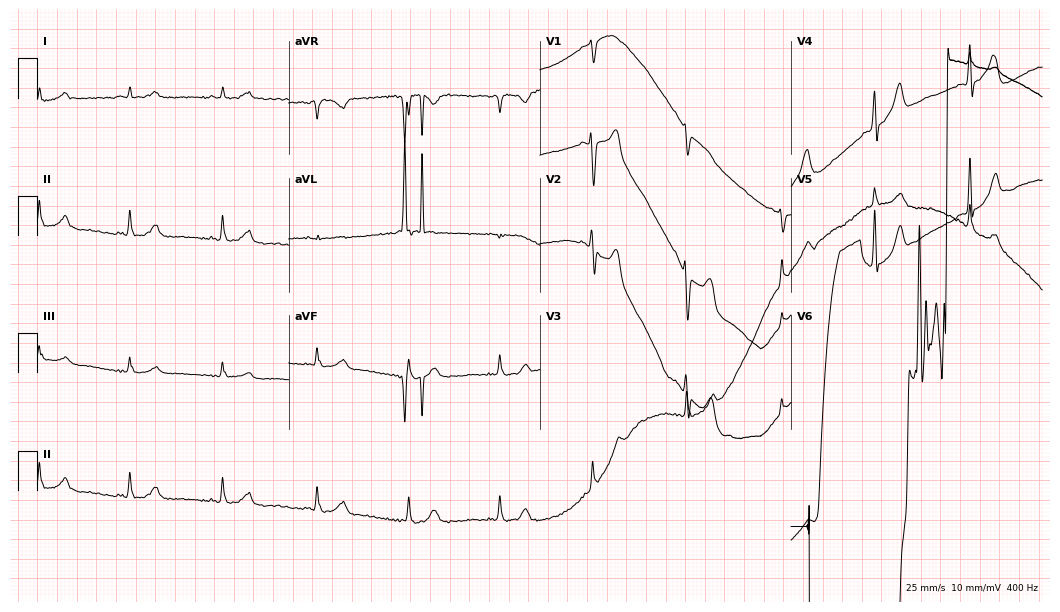
ECG (10.2-second recording at 400 Hz) — a 68-year-old female patient. Labelled as a normal ECG.